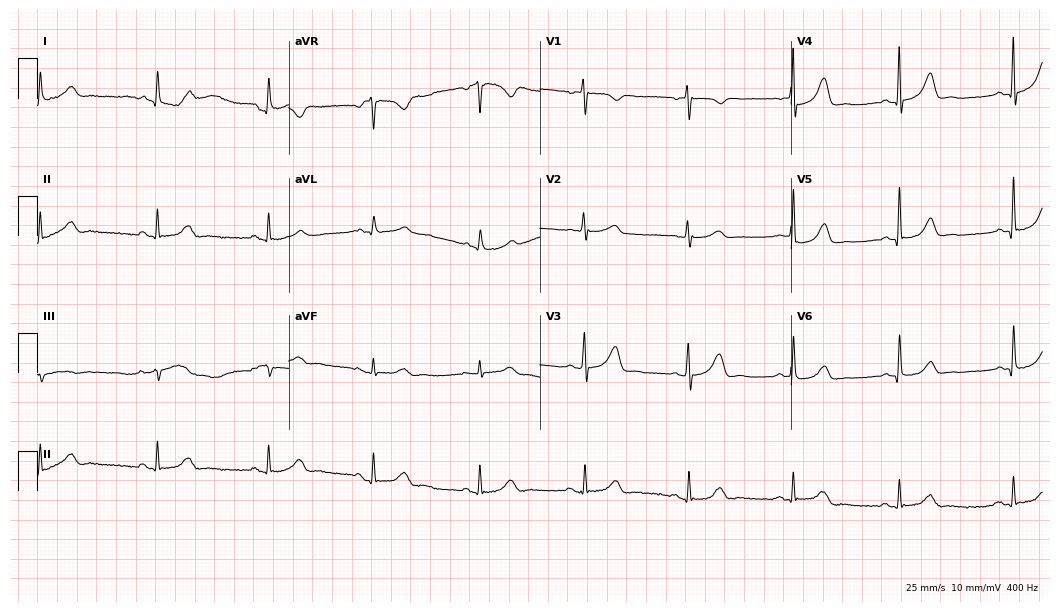
Electrocardiogram, a 75-year-old female patient. Of the six screened findings (first-degree AV block, right bundle branch block, left bundle branch block, sinus bradycardia, atrial fibrillation, sinus tachycardia), none is recorded.